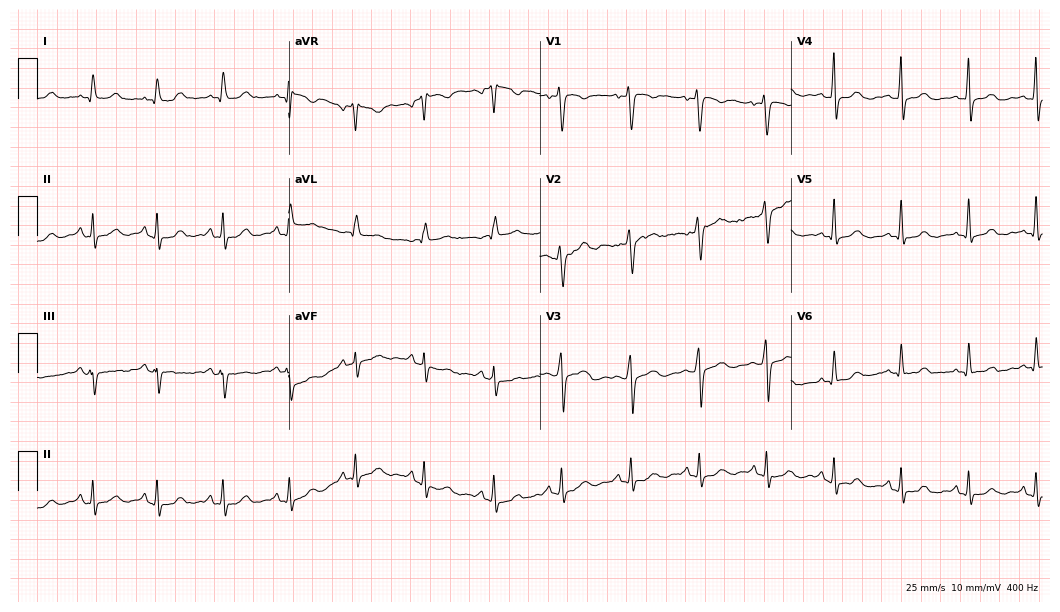
ECG — a female, 38 years old. Labelled as a normal ECG.